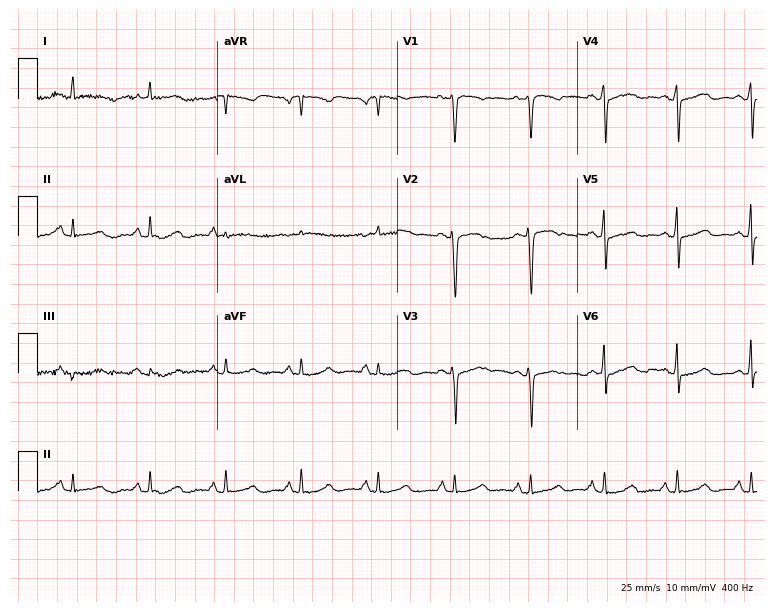
12-lead ECG from a 58-year-old female (7.3-second recording at 400 Hz). Recorded interpretation: within normal limits.